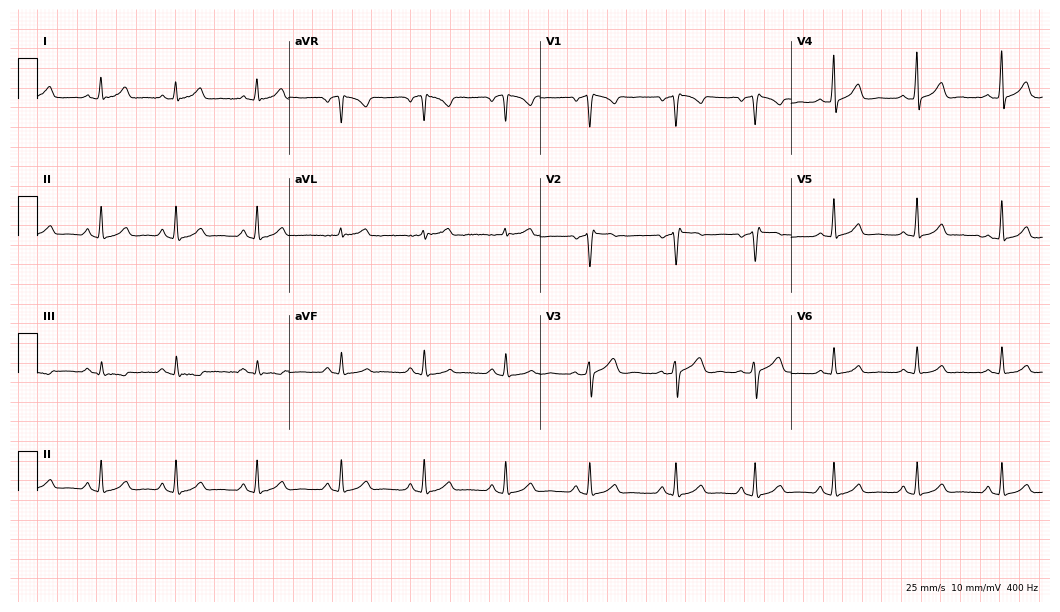
12-lead ECG from a 39-year-old female. Recorded interpretation: within normal limits.